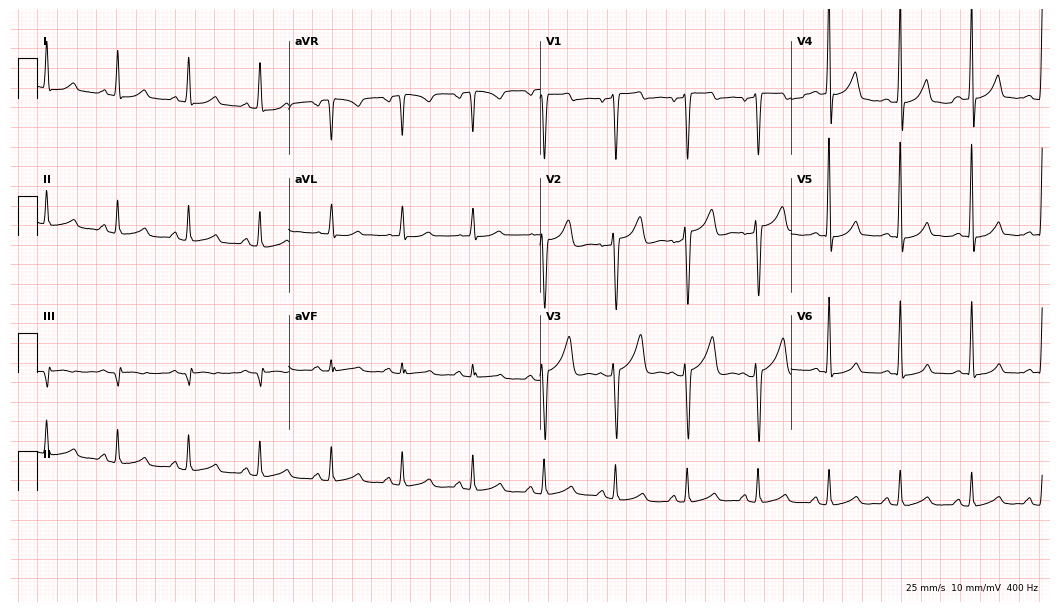
Resting 12-lead electrocardiogram (10.2-second recording at 400 Hz). Patient: a 52-year-old male. Read as a normal ECG.